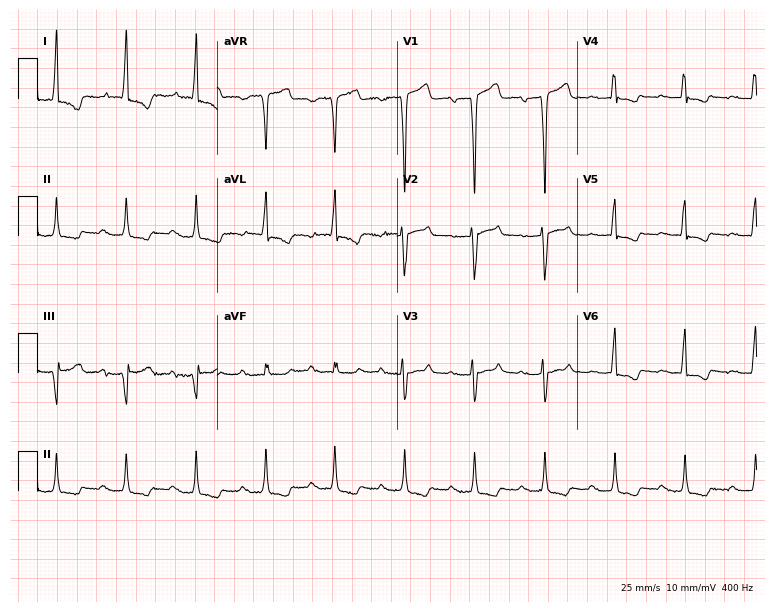
Standard 12-lead ECG recorded from an 83-year-old female patient. None of these six findings is recorded: first-degree AV block, right bundle branch block (RBBB), left bundle branch block (LBBB), sinus bradycardia, atrial fibrillation (AF), sinus tachycardia.